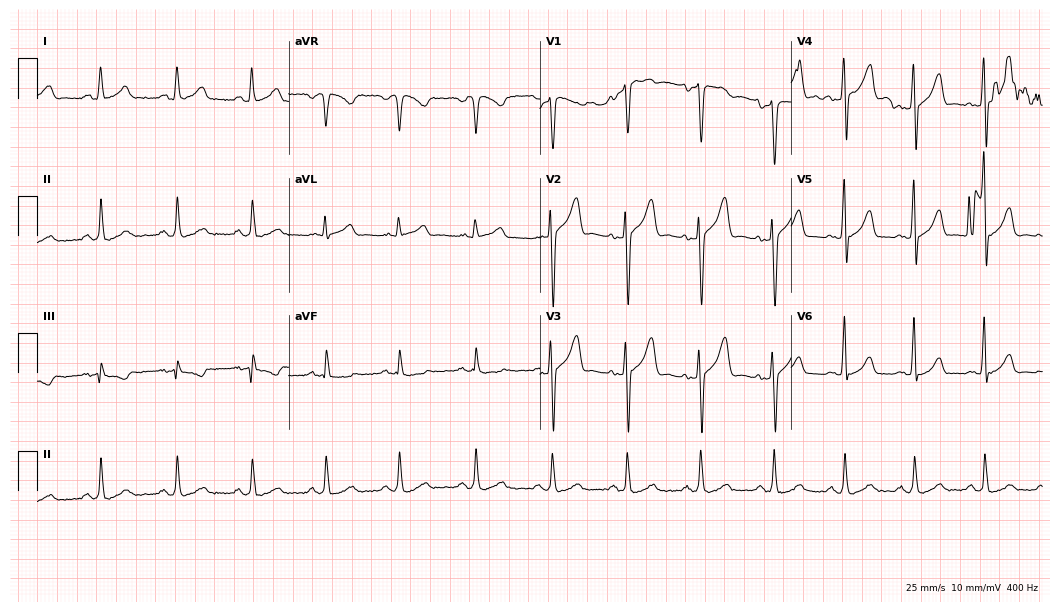
12-lead ECG (10.2-second recording at 400 Hz) from a 52-year-old male. Screened for six findings — first-degree AV block, right bundle branch block, left bundle branch block, sinus bradycardia, atrial fibrillation, sinus tachycardia — none is recorded.